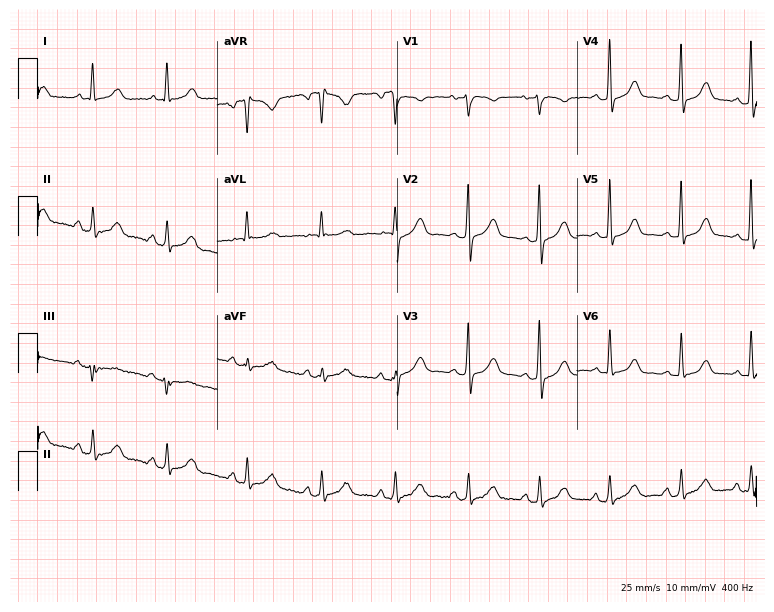
Standard 12-lead ECG recorded from a female patient, 51 years old (7.3-second recording at 400 Hz). None of these six findings is recorded: first-degree AV block, right bundle branch block, left bundle branch block, sinus bradycardia, atrial fibrillation, sinus tachycardia.